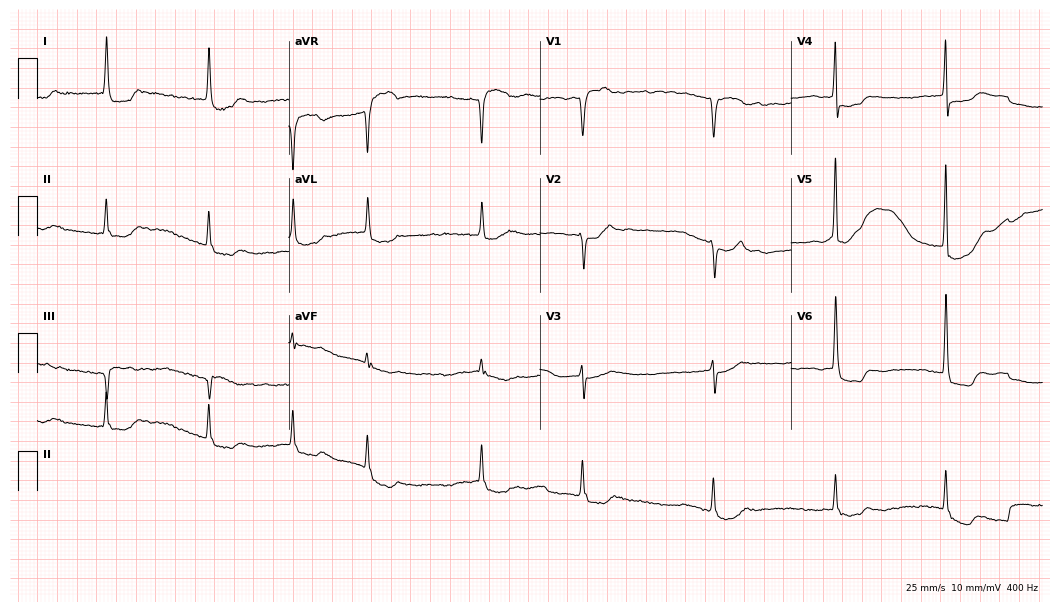
12-lead ECG from a female, 81 years old (10.2-second recording at 400 Hz). No first-degree AV block, right bundle branch block, left bundle branch block, sinus bradycardia, atrial fibrillation or sinus tachycardia recorded for this tracing. Findings outside these six are not listed.